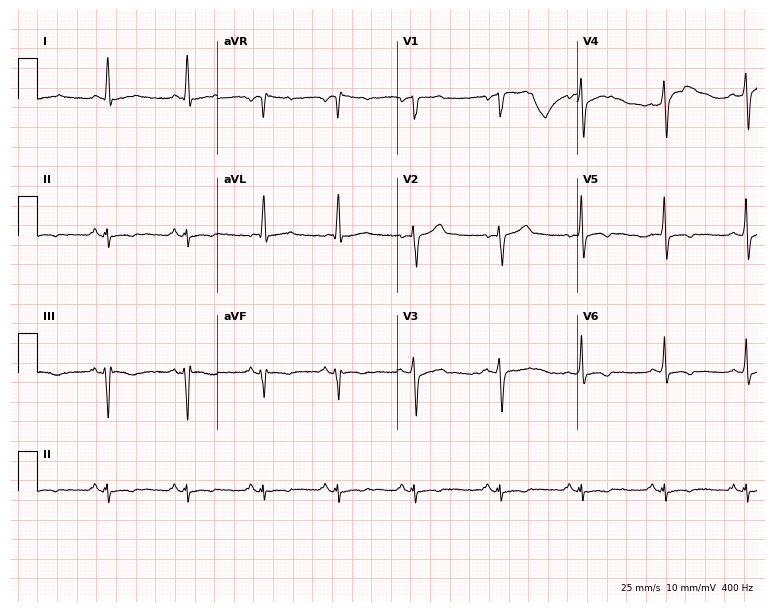
ECG (7.3-second recording at 400 Hz) — a male patient, 51 years old. Screened for six findings — first-degree AV block, right bundle branch block, left bundle branch block, sinus bradycardia, atrial fibrillation, sinus tachycardia — none is recorded.